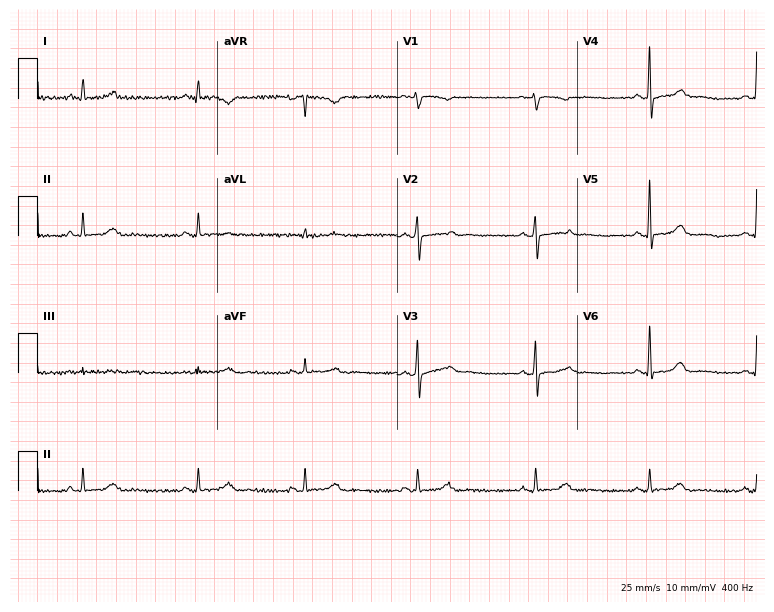
12-lead ECG from a 40-year-old woman. Labelled as a normal ECG.